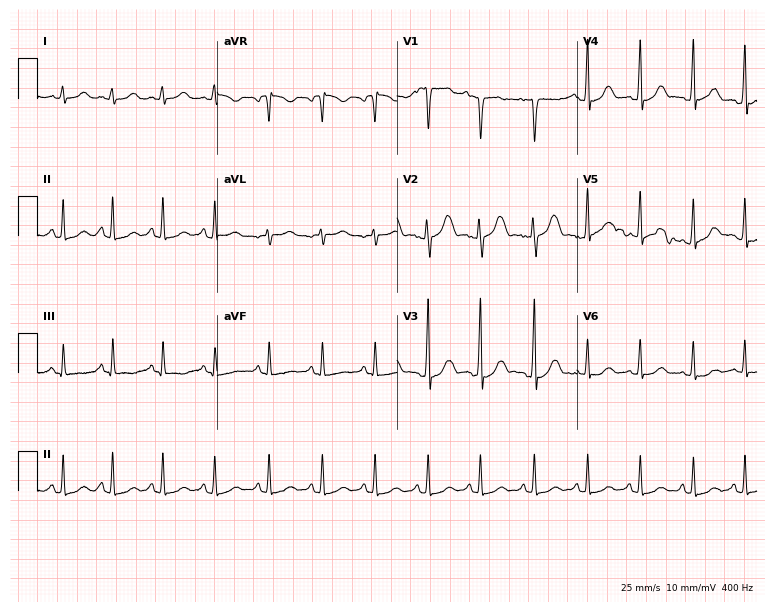
12-lead ECG from a female, 22 years old (7.3-second recording at 400 Hz). Shows sinus tachycardia (a sinus rate of 100 beats per minute or more).